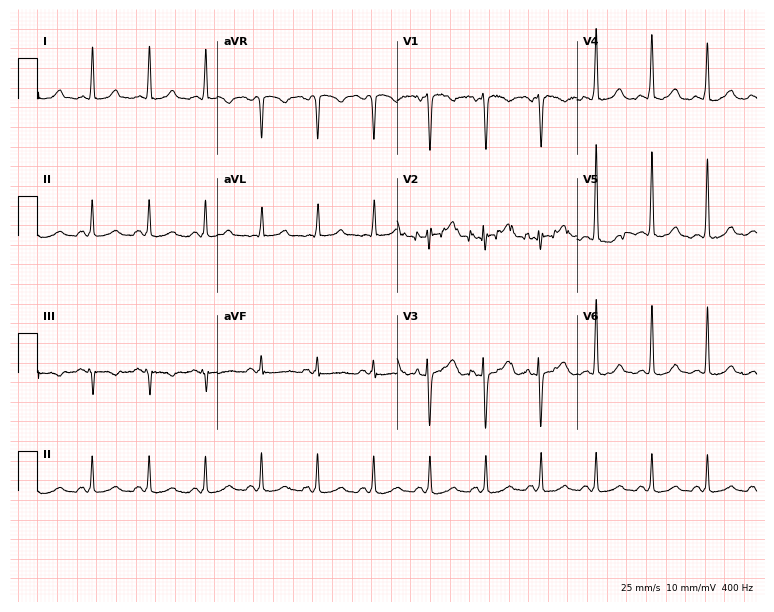
12-lead ECG (7.3-second recording at 400 Hz) from a man, 62 years old. Findings include sinus tachycardia (a sinus rate of 100 beats per minute or more).